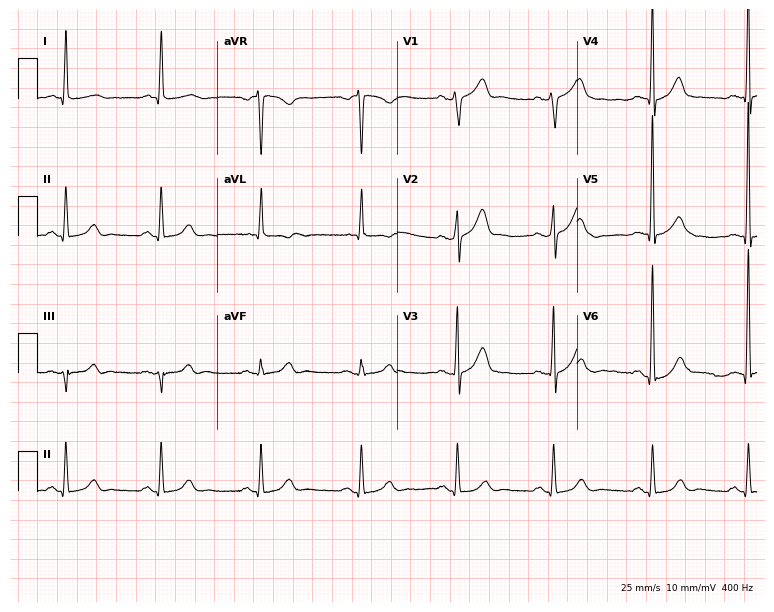
Electrocardiogram (7.3-second recording at 400 Hz), a 62-year-old male. Of the six screened findings (first-degree AV block, right bundle branch block, left bundle branch block, sinus bradycardia, atrial fibrillation, sinus tachycardia), none is recorded.